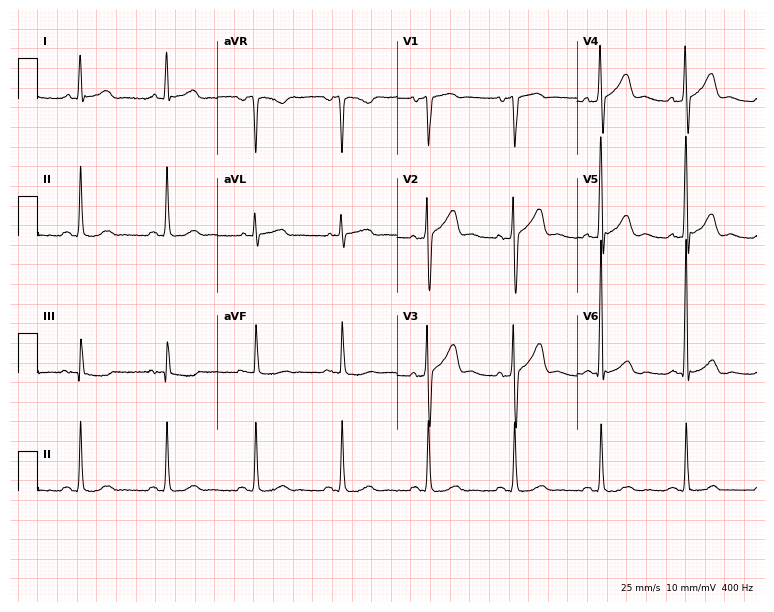
Resting 12-lead electrocardiogram. Patient: a man, 56 years old. Read as a normal ECG.